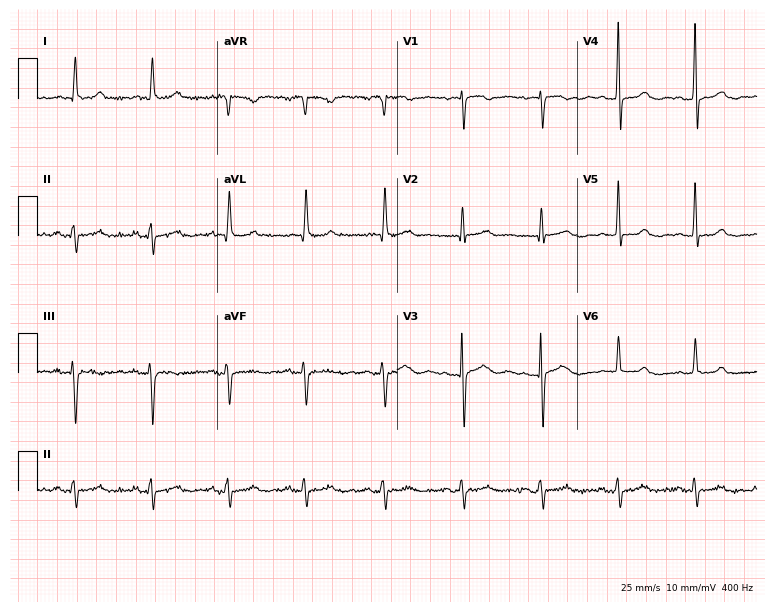
12-lead ECG from a 73-year-old female patient (7.3-second recording at 400 Hz). No first-degree AV block, right bundle branch block, left bundle branch block, sinus bradycardia, atrial fibrillation or sinus tachycardia recorded for this tracing. Findings outside these six are not listed.